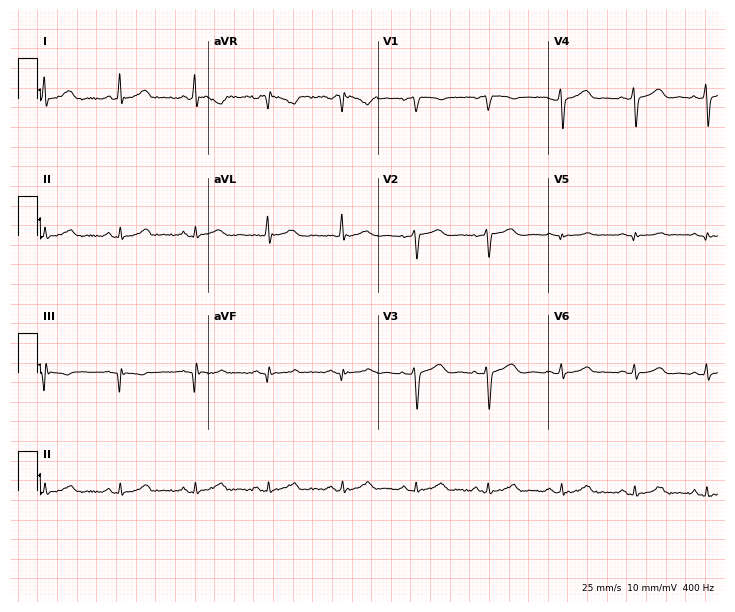
ECG (6.9-second recording at 400 Hz) — a female patient, 52 years old. Screened for six findings — first-degree AV block, right bundle branch block, left bundle branch block, sinus bradycardia, atrial fibrillation, sinus tachycardia — none is recorded. Other findings, if any, are not listed.